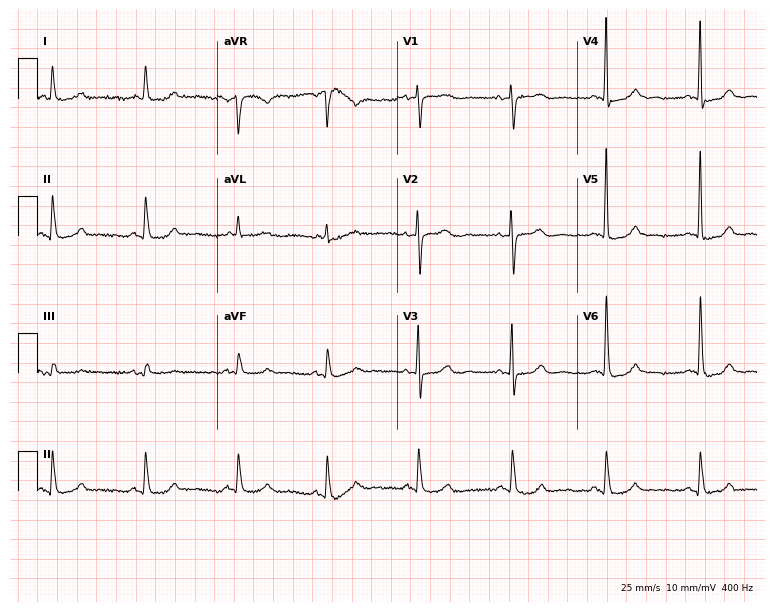
Standard 12-lead ECG recorded from a 79-year-old woman (7.3-second recording at 400 Hz). None of these six findings is recorded: first-degree AV block, right bundle branch block, left bundle branch block, sinus bradycardia, atrial fibrillation, sinus tachycardia.